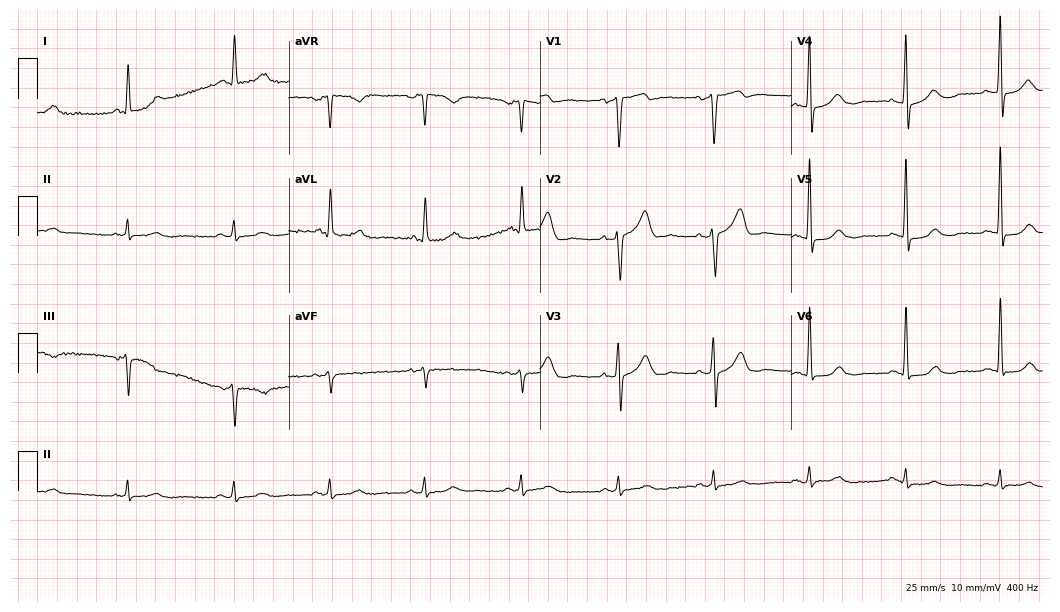
12-lead ECG from an 85-year-old male. No first-degree AV block, right bundle branch block, left bundle branch block, sinus bradycardia, atrial fibrillation or sinus tachycardia recorded for this tracing. Other findings, if any, are not listed.